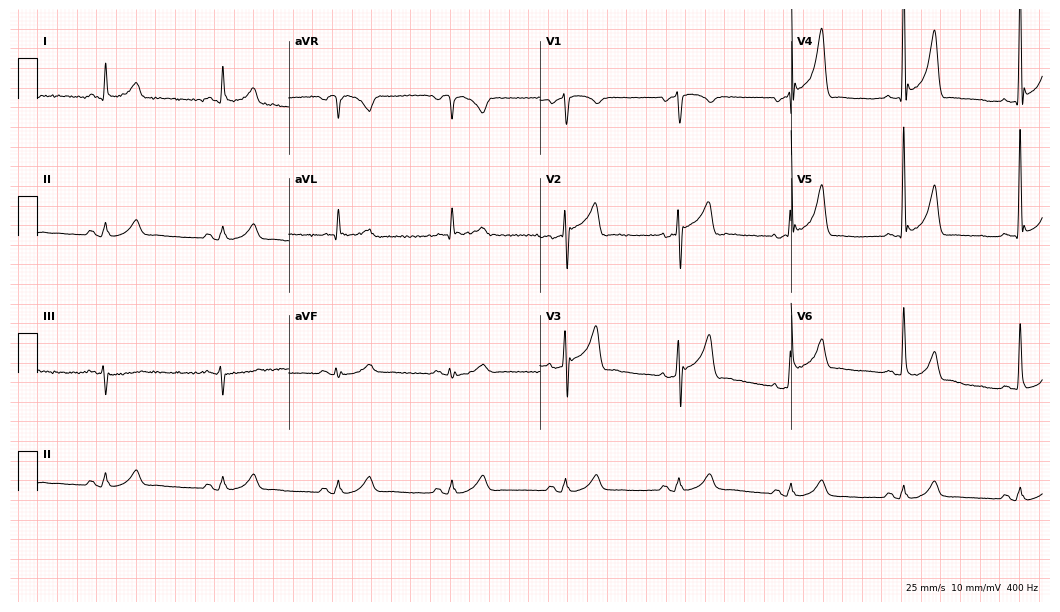
Electrocardiogram, a 70-year-old man. Overall reading on record: normal ECG.